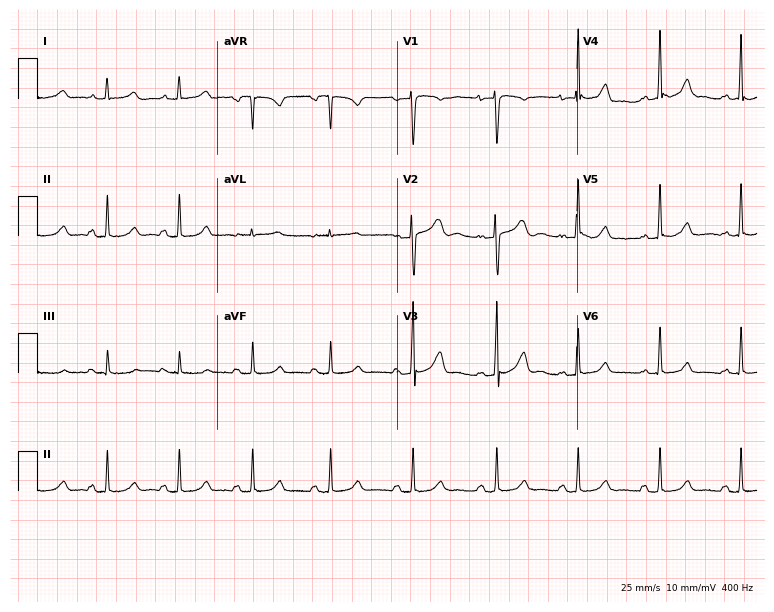
Electrocardiogram (7.3-second recording at 400 Hz), a woman, 27 years old. Overall reading on record: normal ECG.